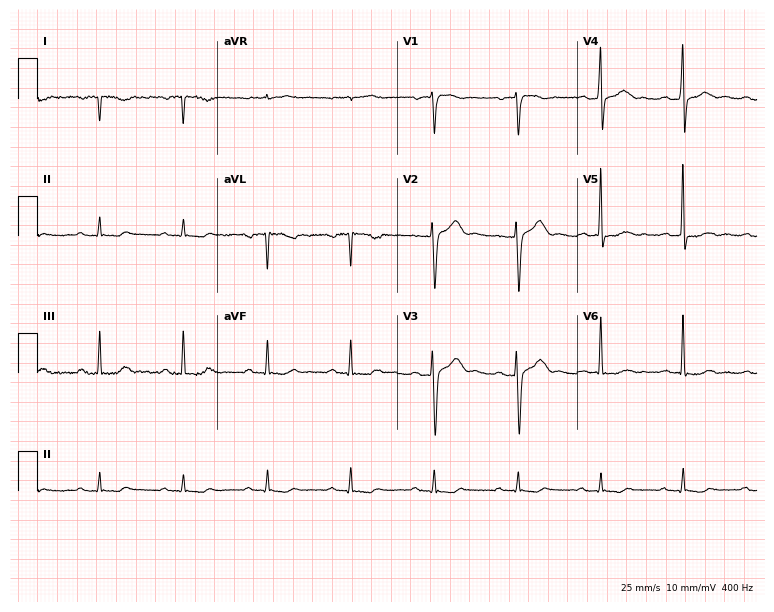
Resting 12-lead electrocardiogram (7.3-second recording at 400 Hz). Patient: a 58-year-old male. None of these six findings is recorded: first-degree AV block, right bundle branch block, left bundle branch block, sinus bradycardia, atrial fibrillation, sinus tachycardia.